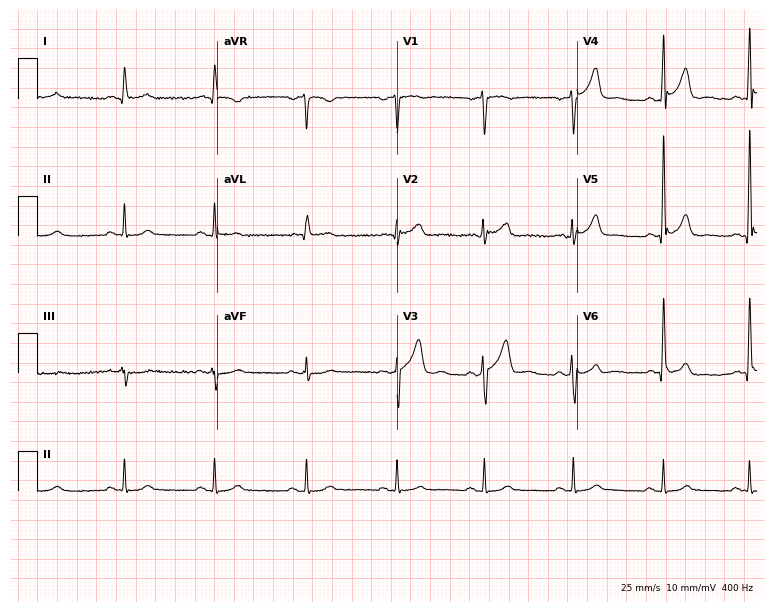
ECG (7.3-second recording at 400 Hz) — a man, 40 years old. Labelled as a normal ECG.